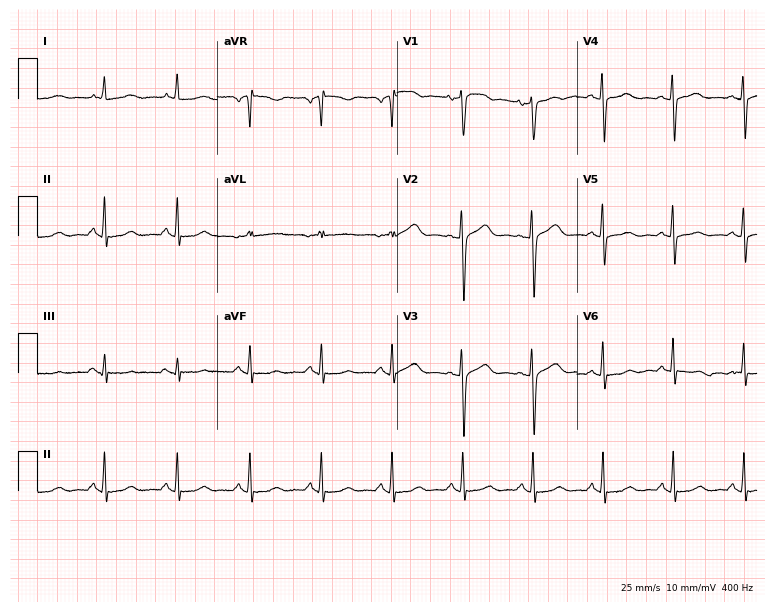
ECG — a 55-year-old woman. Screened for six findings — first-degree AV block, right bundle branch block, left bundle branch block, sinus bradycardia, atrial fibrillation, sinus tachycardia — none is recorded.